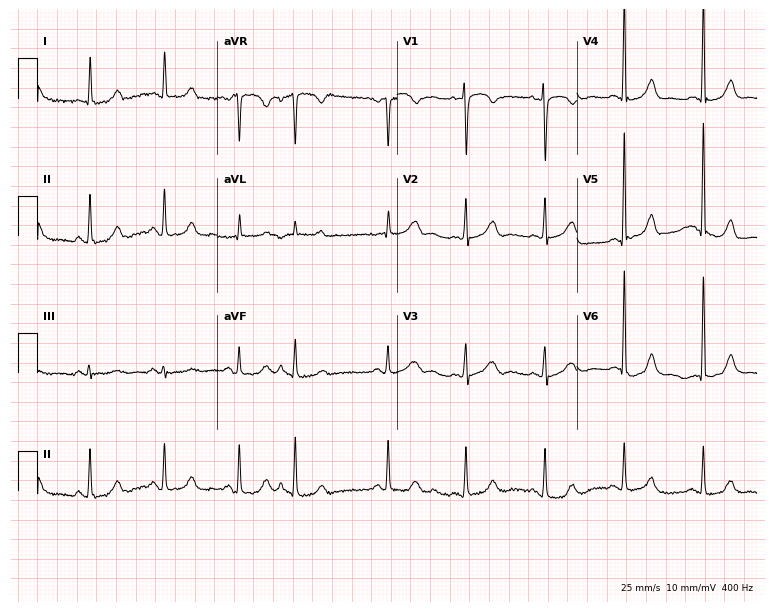
12-lead ECG (7.3-second recording at 400 Hz) from a woman, 74 years old. Labelled as a normal ECG.